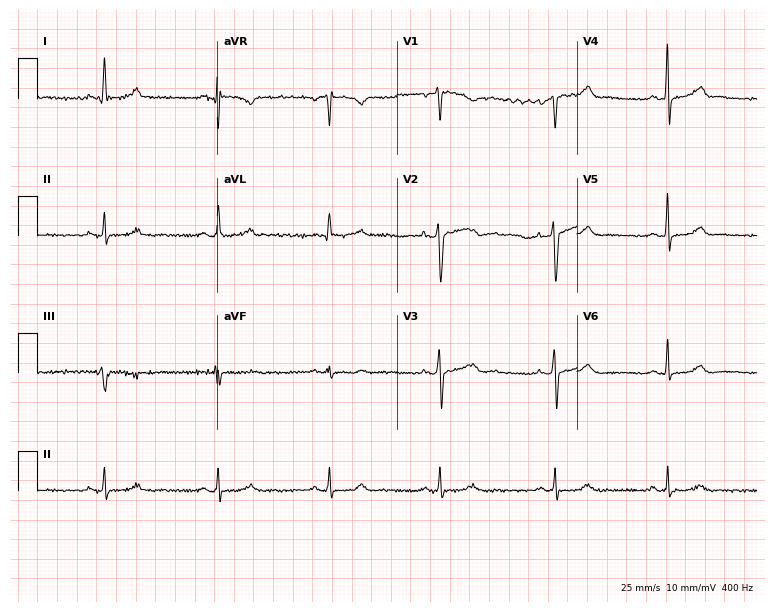
12-lead ECG from a female, 44 years old (7.3-second recording at 400 Hz). No first-degree AV block, right bundle branch block, left bundle branch block, sinus bradycardia, atrial fibrillation or sinus tachycardia recorded for this tracing.